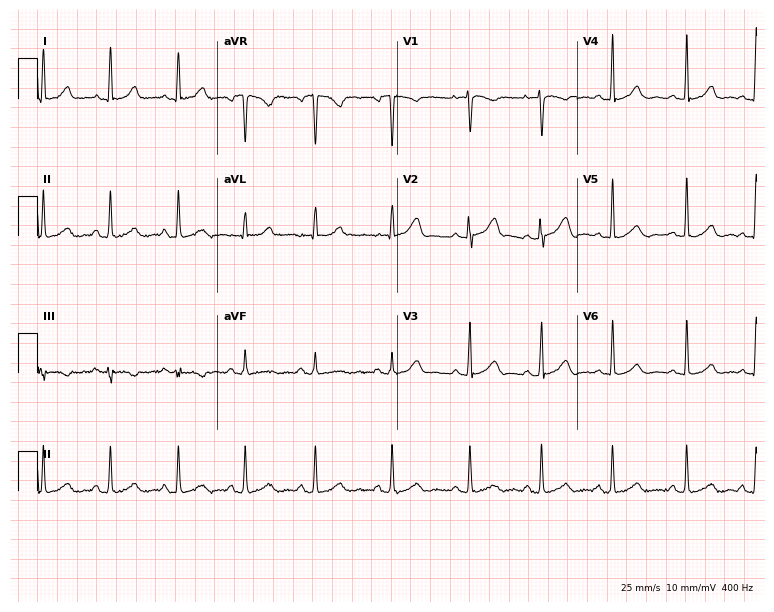
Resting 12-lead electrocardiogram (7.3-second recording at 400 Hz). Patient: a female, 28 years old. Read as a normal ECG.